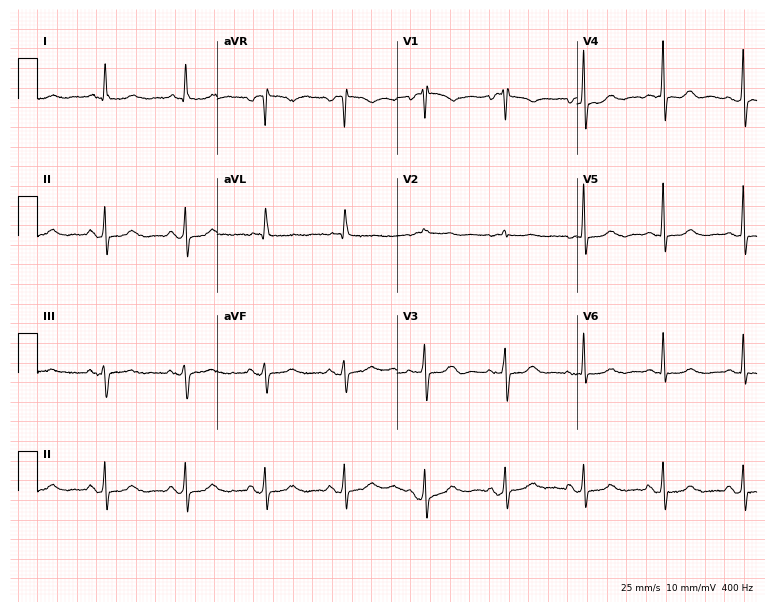
Electrocardiogram (7.3-second recording at 400 Hz), an 81-year-old female. Of the six screened findings (first-degree AV block, right bundle branch block (RBBB), left bundle branch block (LBBB), sinus bradycardia, atrial fibrillation (AF), sinus tachycardia), none is recorded.